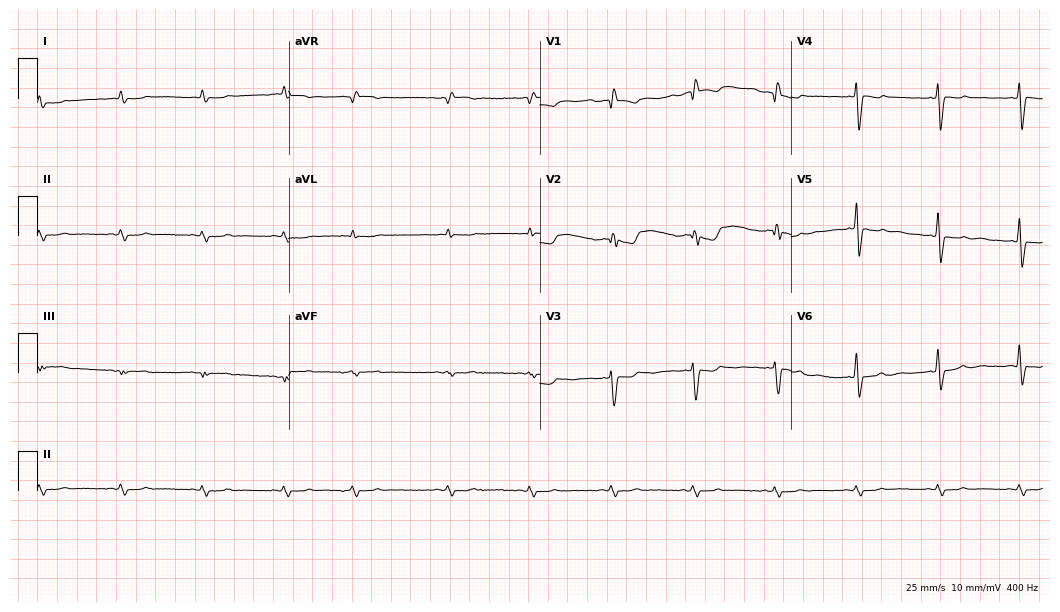
Standard 12-lead ECG recorded from a 67-year-old man (10.2-second recording at 400 Hz). None of these six findings is recorded: first-degree AV block, right bundle branch block (RBBB), left bundle branch block (LBBB), sinus bradycardia, atrial fibrillation (AF), sinus tachycardia.